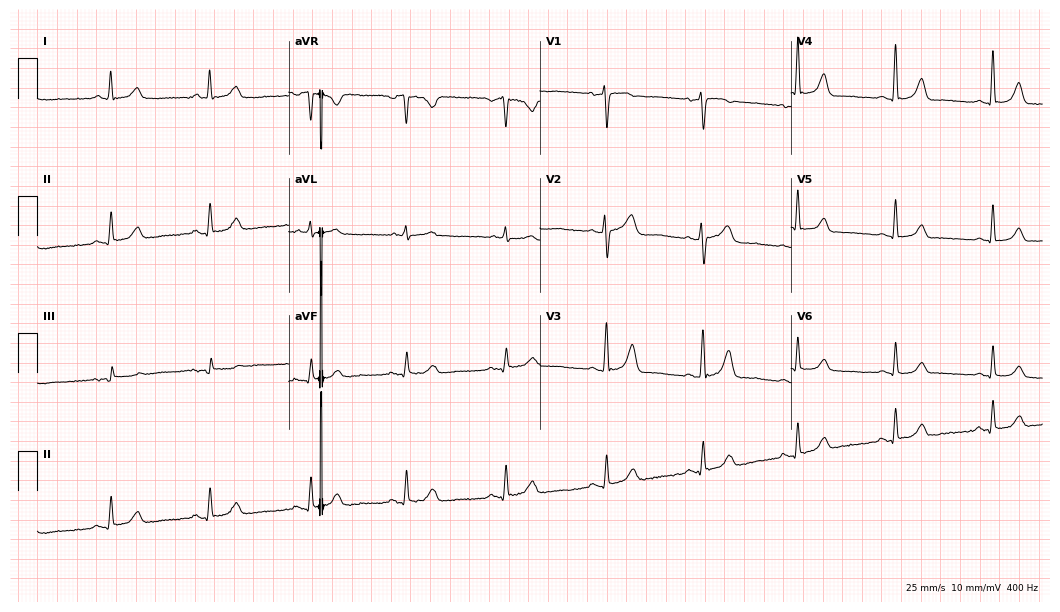
Standard 12-lead ECG recorded from a 61-year-old female patient. Read as a normal ECG.